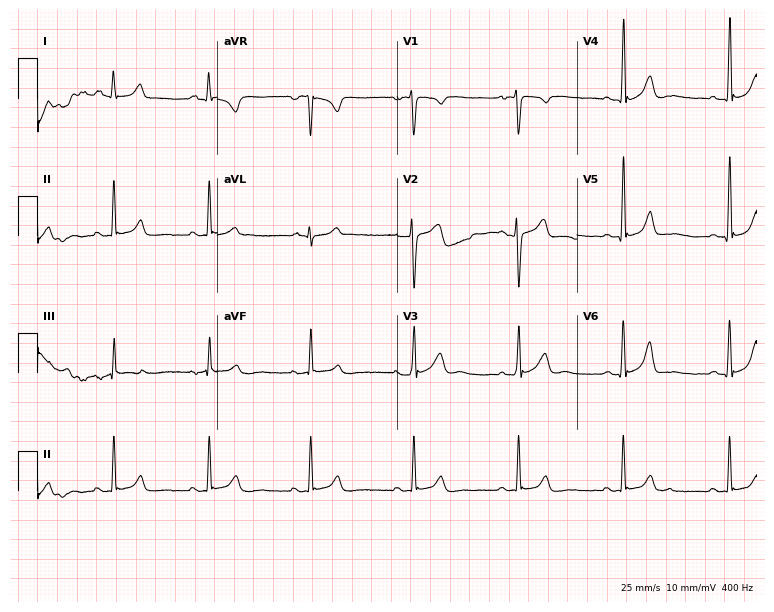
Standard 12-lead ECG recorded from a 22-year-old woman (7.3-second recording at 400 Hz). None of these six findings is recorded: first-degree AV block, right bundle branch block, left bundle branch block, sinus bradycardia, atrial fibrillation, sinus tachycardia. Only these six findings were labelled.